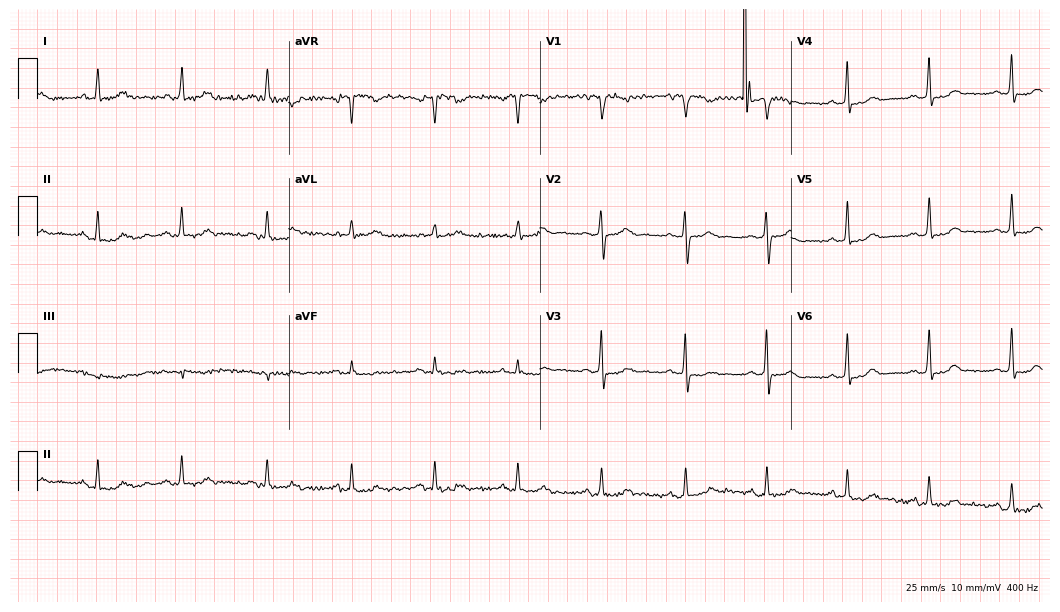
Electrocardiogram, a 71-year-old female patient. Of the six screened findings (first-degree AV block, right bundle branch block (RBBB), left bundle branch block (LBBB), sinus bradycardia, atrial fibrillation (AF), sinus tachycardia), none is recorded.